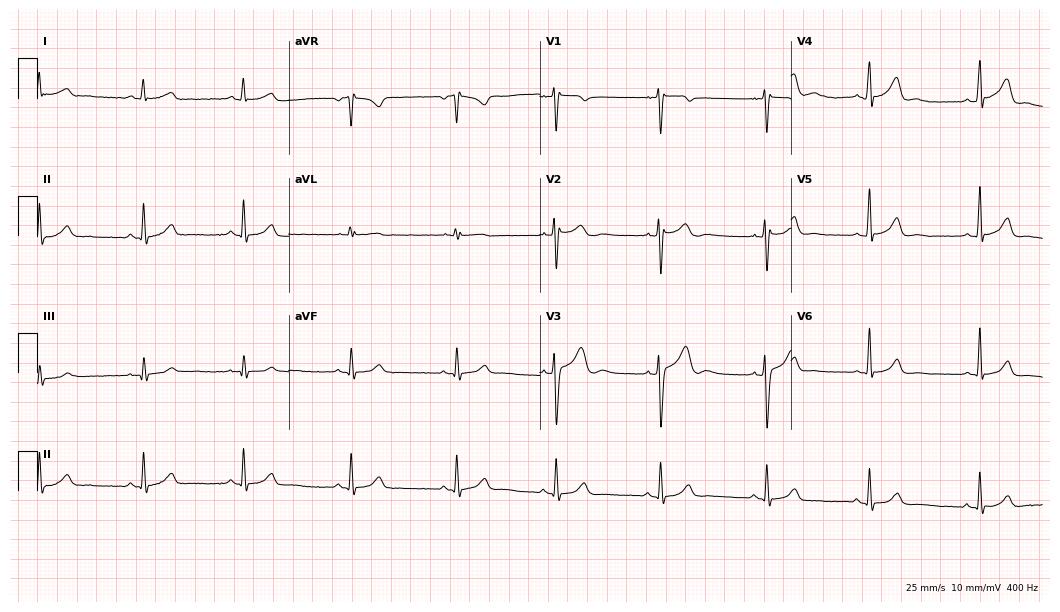
Electrocardiogram, a 23-year-old male. Of the six screened findings (first-degree AV block, right bundle branch block, left bundle branch block, sinus bradycardia, atrial fibrillation, sinus tachycardia), none is recorded.